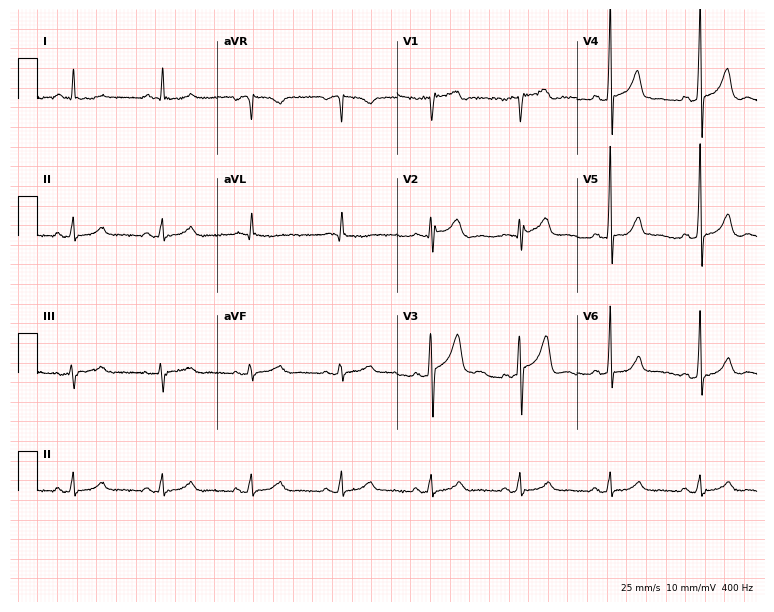
Standard 12-lead ECG recorded from a male, 56 years old (7.3-second recording at 400 Hz). None of these six findings is recorded: first-degree AV block, right bundle branch block, left bundle branch block, sinus bradycardia, atrial fibrillation, sinus tachycardia.